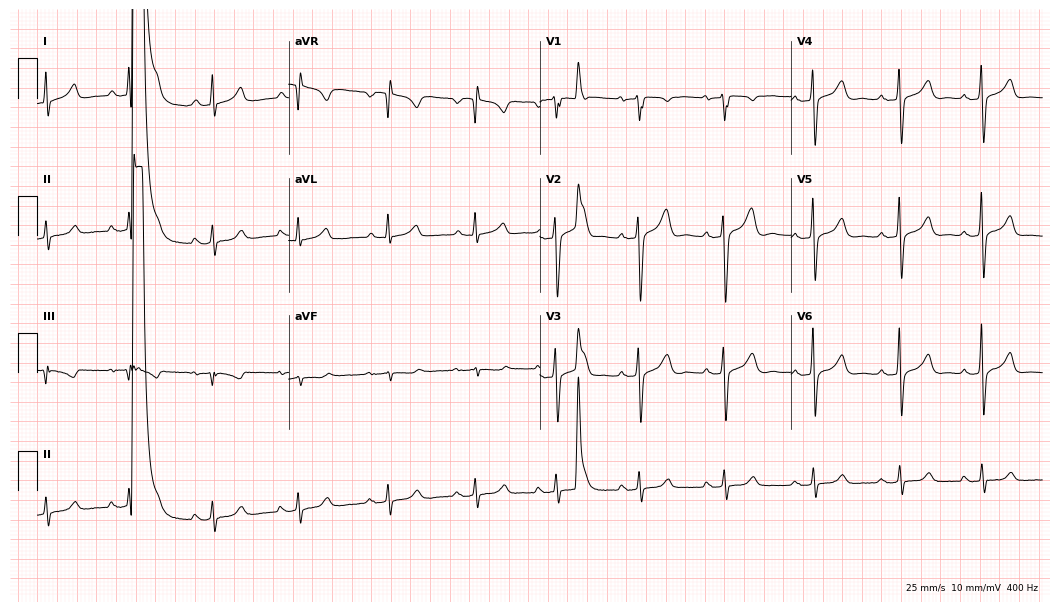
Electrocardiogram, a male patient, 43 years old. Overall reading on record: normal ECG.